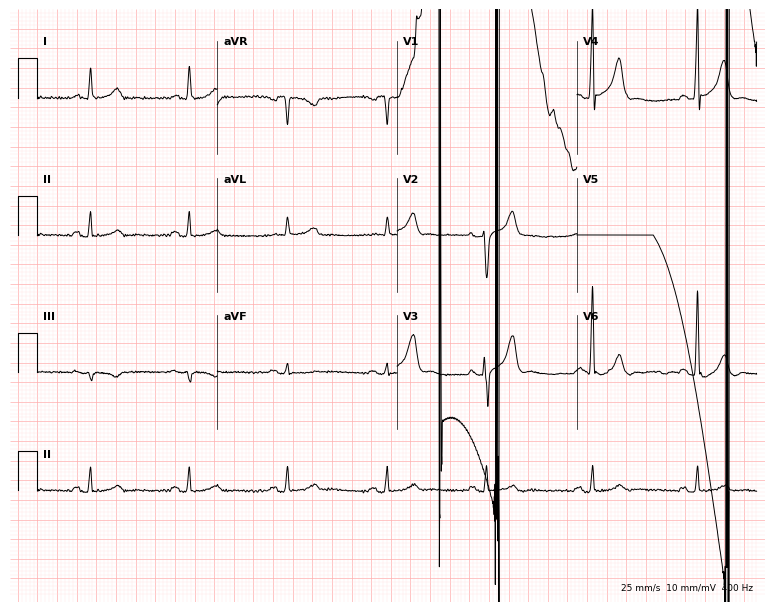
Electrocardiogram, a 58-year-old man. Of the six screened findings (first-degree AV block, right bundle branch block (RBBB), left bundle branch block (LBBB), sinus bradycardia, atrial fibrillation (AF), sinus tachycardia), none is recorded. Other findings, if any, are not listed.